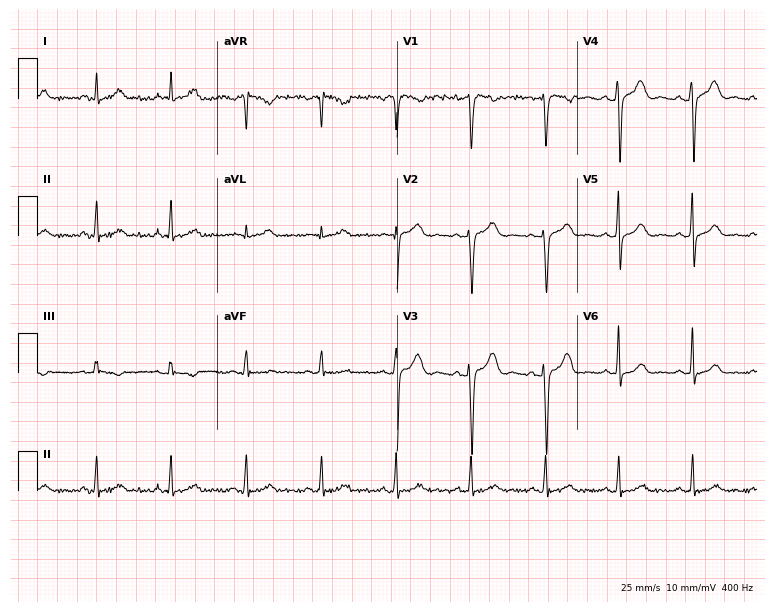
Resting 12-lead electrocardiogram. Patient: a 48-year-old male. Read as a normal ECG.